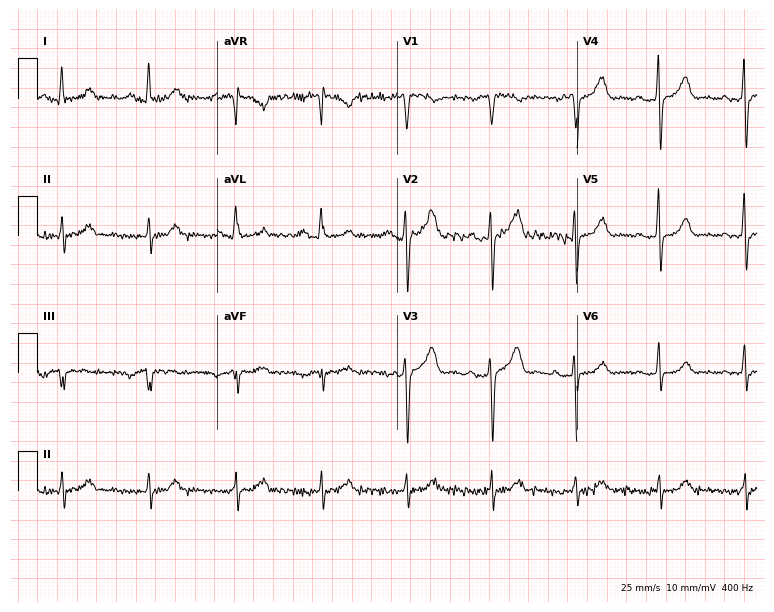
12-lead ECG from a 44-year-old male patient. Recorded interpretation: within normal limits.